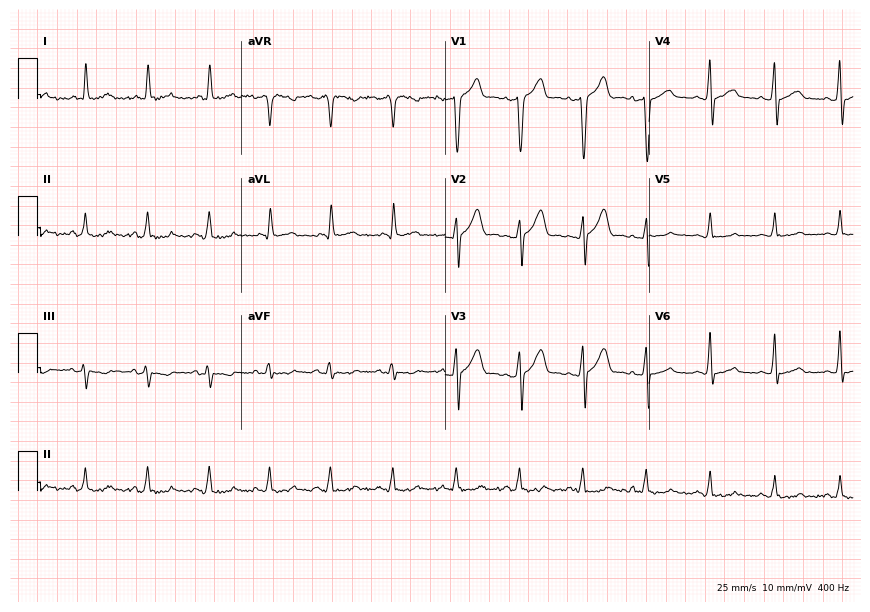
ECG — a 45-year-old man. Labelled as a normal ECG.